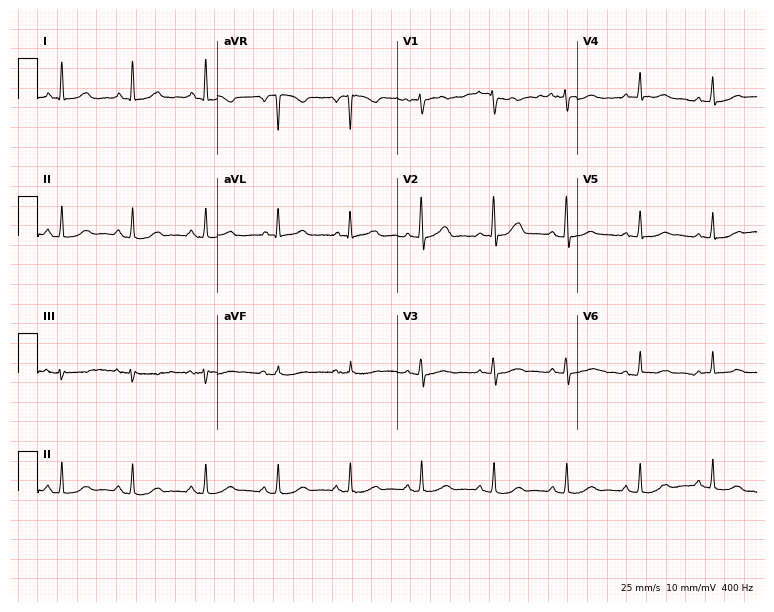
Resting 12-lead electrocardiogram (7.3-second recording at 400 Hz). Patient: a 52-year-old woman. Read as a normal ECG.